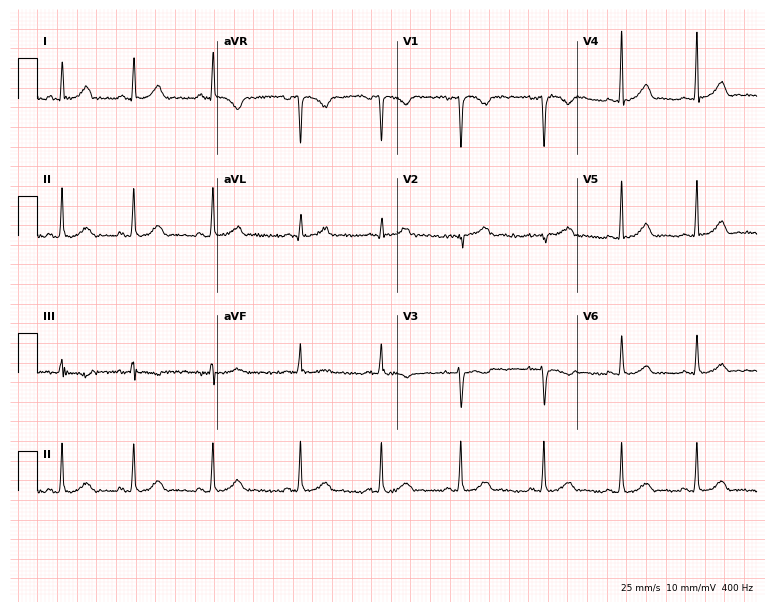
12-lead ECG from a female patient, 35 years old (7.3-second recording at 400 Hz). Recorded interpretation: within normal limits.